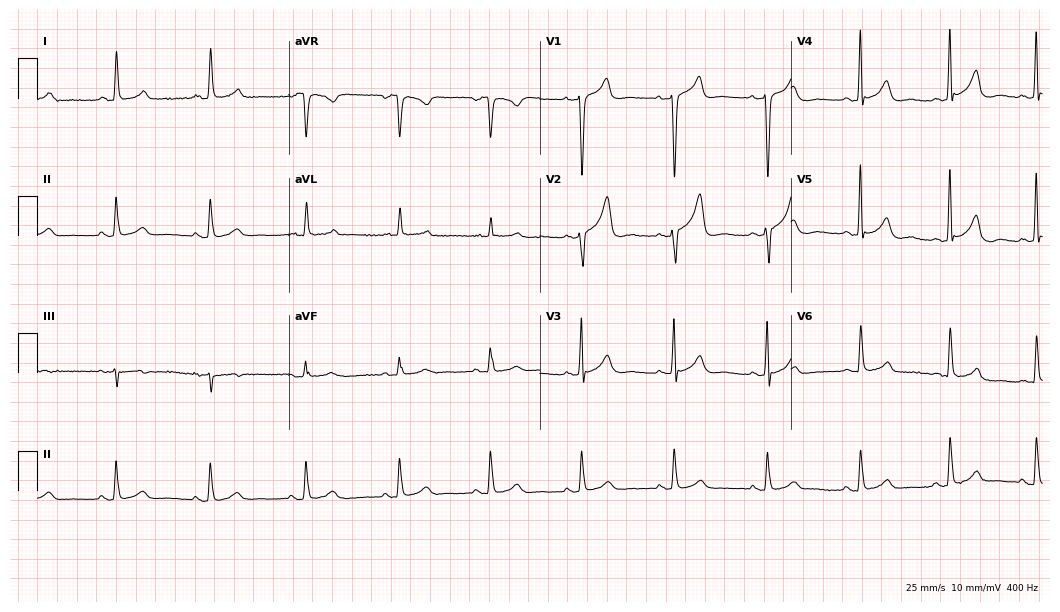
Standard 12-lead ECG recorded from a woman, 66 years old. Read as a normal ECG.